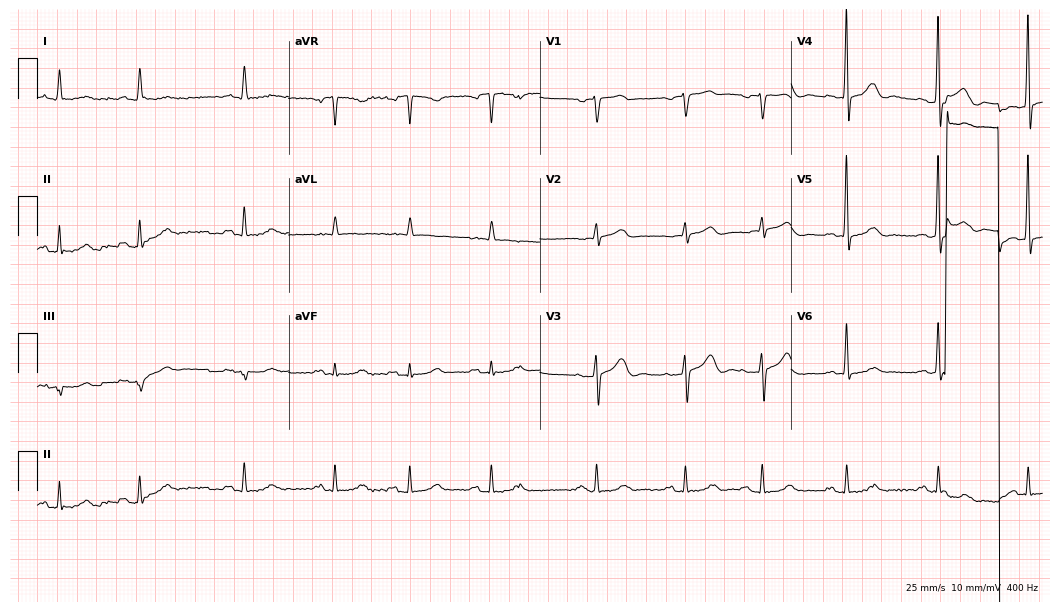
ECG — an 80-year-old woman. Screened for six findings — first-degree AV block, right bundle branch block, left bundle branch block, sinus bradycardia, atrial fibrillation, sinus tachycardia — none is recorded. Only these six findings were labelled.